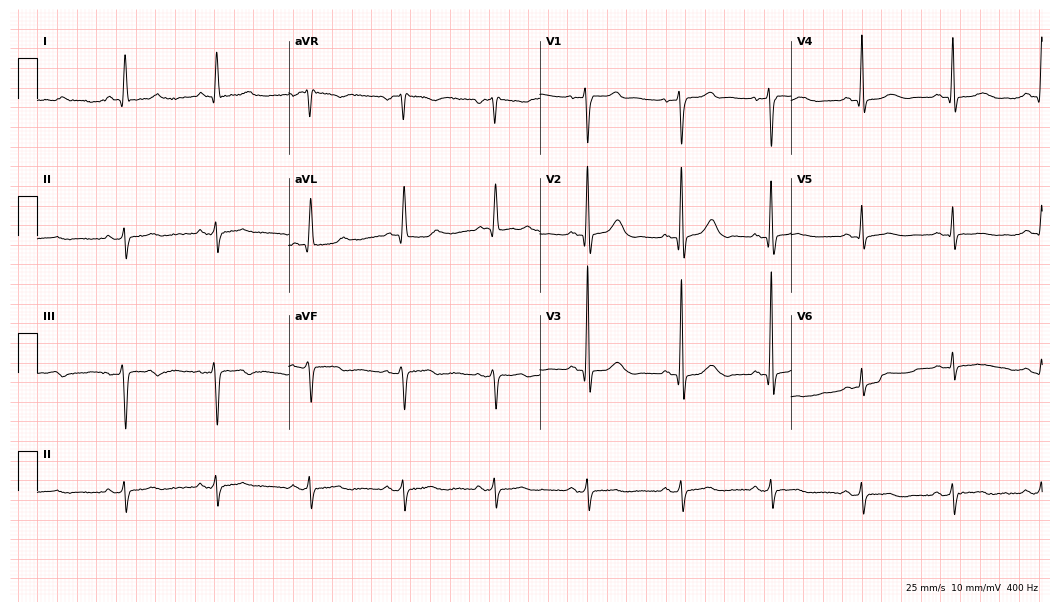
Resting 12-lead electrocardiogram (10.2-second recording at 400 Hz). Patient: a 72-year-old woman. None of these six findings is recorded: first-degree AV block, right bundle branch block (RBBB), left bundle branch block (LBBB), sinus bradycardia, atrial fibrillation (AF), sinus tachycardia.